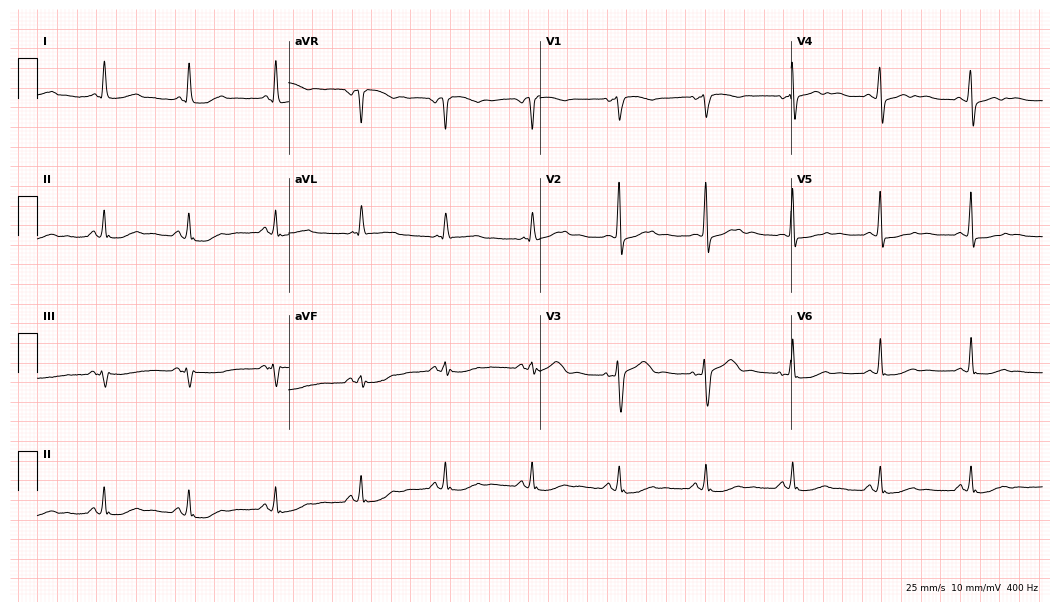
12-lead ECG from a woman, 60 years old. Recorded interpretation: within normal limits.